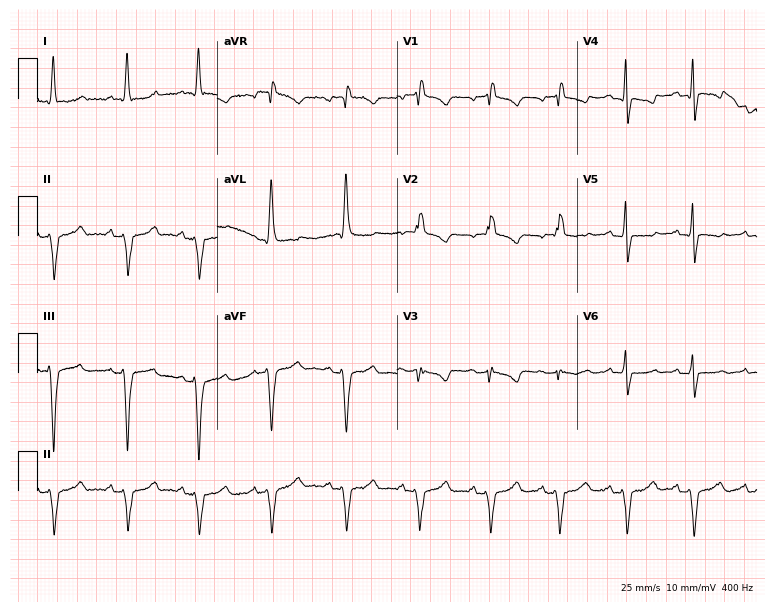
ECG (7.3-second recording at 400 Hz) — a female patient, 73 years old. Screened for six findings — first-degree AV block, right bundle branch block, left bundle branch block, sinus bradycardia, atrial fibrillation, sinus tachycardia — none is recorded.